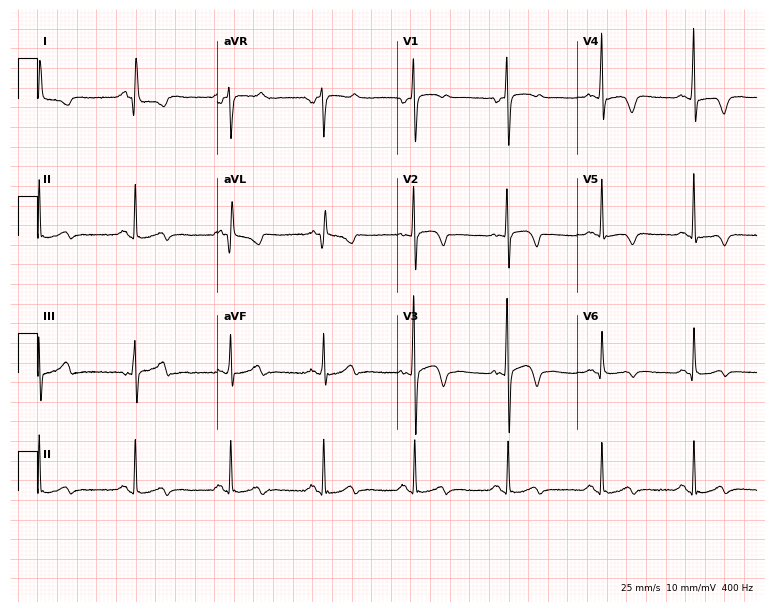
Electrocardiogram (7.3-second recording at 400 Hz), a woman, 54 years old. Of the six screened findings (first-degree AV block, right bundle branch block (RBBB), left bundle branch block (LBBB), sinus bradycardia, atrial fibrillation (AF), sinus tachycardia), none is recorded.